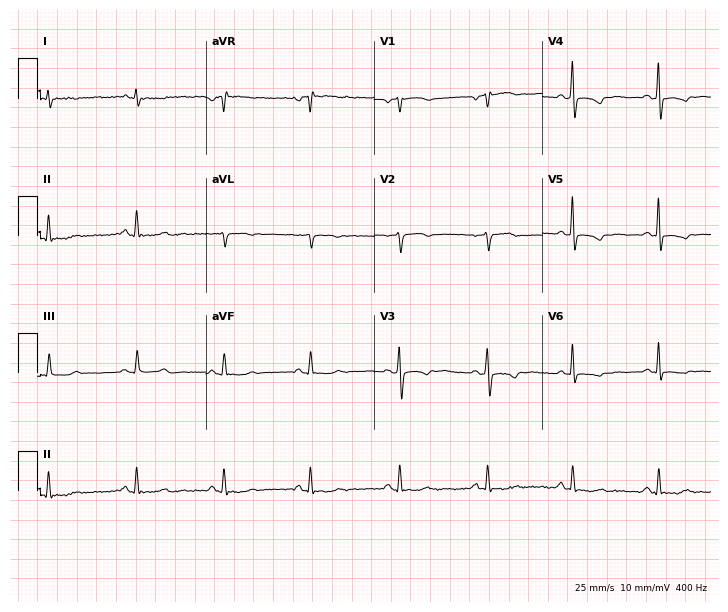
Electrocardiogram, a 57-year-old female. Of the six screened findings (first-degree AV block, right bundle branch block, left bundle branch block, sinus bradycardia, atrial fibrillation, sinus tachycardia), none is recorded.